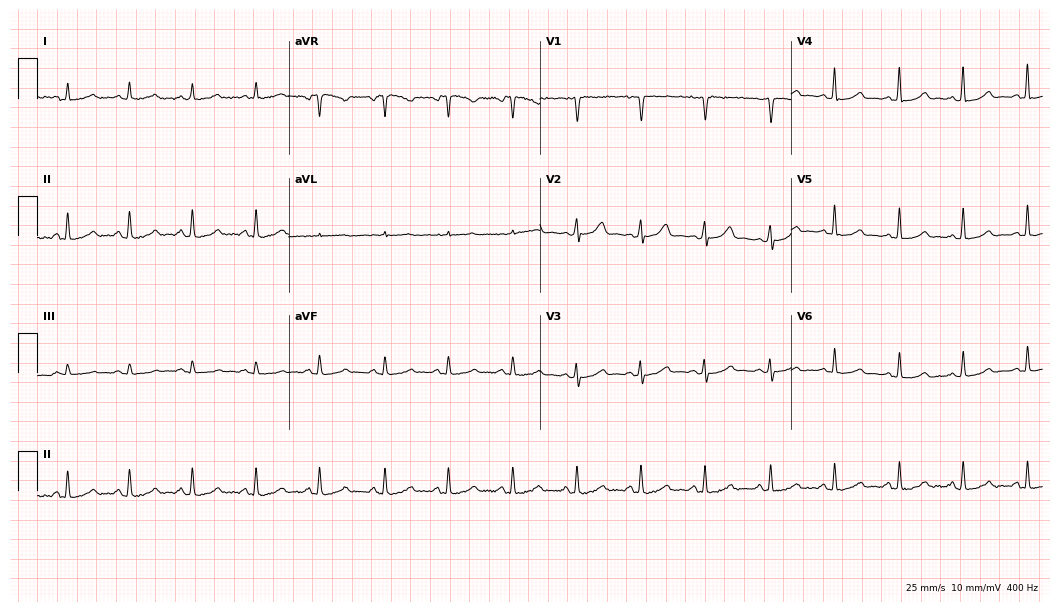
Electrocardiogram (10.2-second recording at 400 Hz), a 42-year-old woman. Of the six screened findings (first-degree AV block, right bundle branch block, left bundle branch block, sinus bradycardia, atrial fibrillation, sinus tachycardia), none is recorded. Only these six findings were labelled.